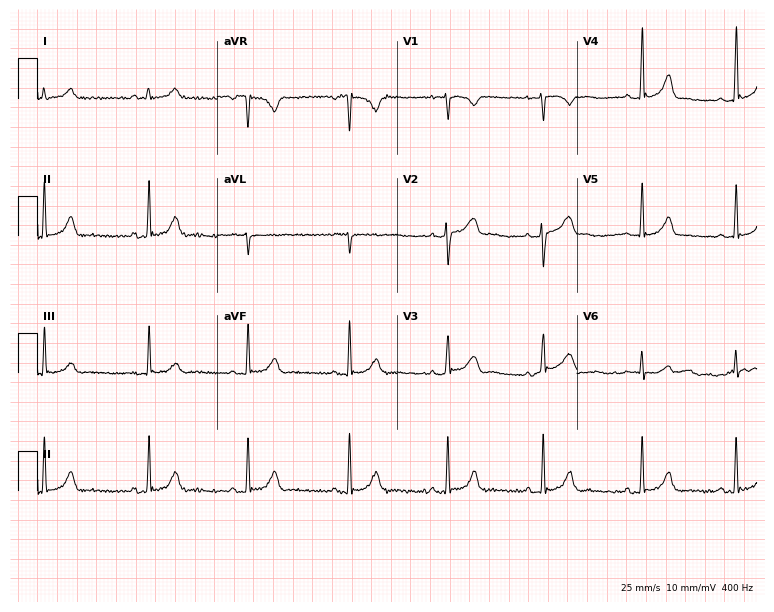
Resting 12-lead electrocardiogram (7.3-second recording at 400 Hz). Patient: a woman, 23 years old. Read as a normal ECG.